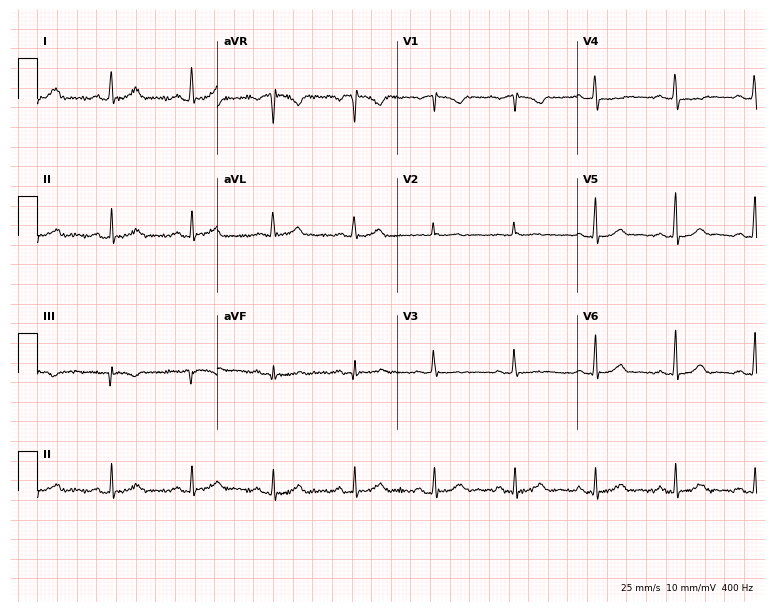
Resting 12-lead electrocardiogram. Patient: a 57-year-old female. Read as a normal ECG.